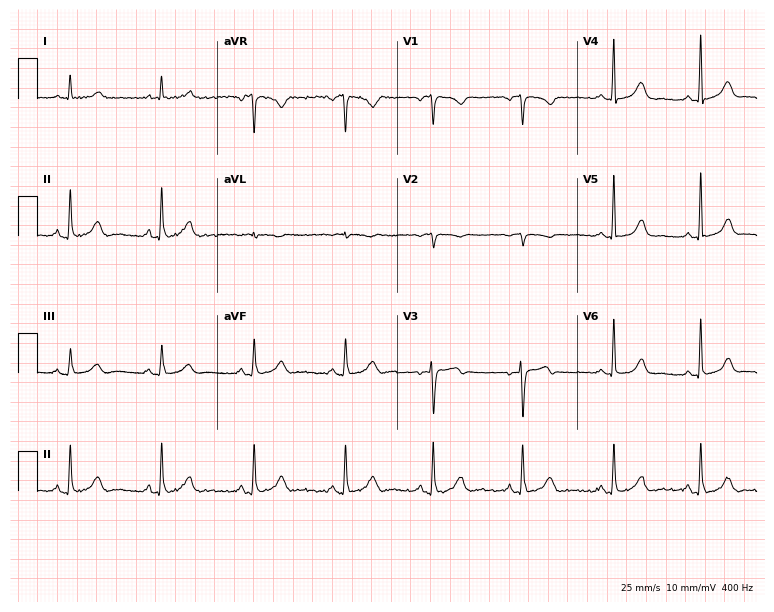
12-lead ECG (7.3-second recording at 400 Hz) from a 50-year-old female. Labelled as a normal ECG.